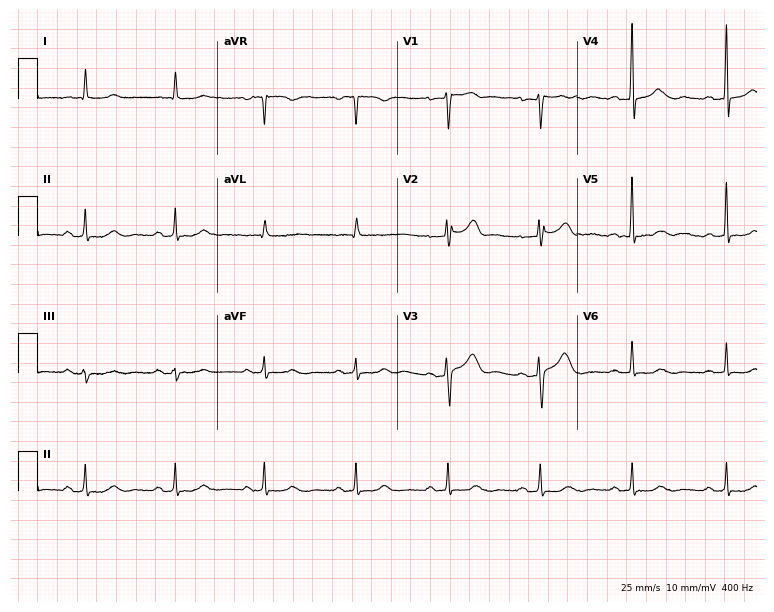
12-lead ECG from a 66-year-old female. Labelled as a normal ECG.